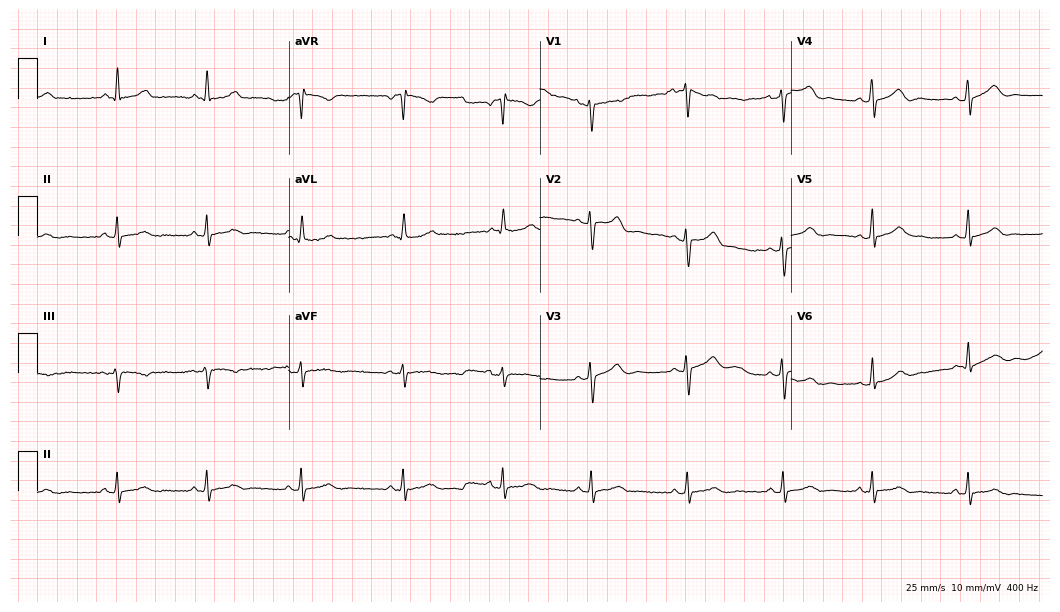
Standard 12-lead ECG recorded from a 30-year-old female patient. None of these six findings is recorded: first-degree AV block, right bundle branch block (RBBB), left bundle branch block (LBBB), sinus bradycardia, atrial fibrillation (AF), sinus tachycardia.